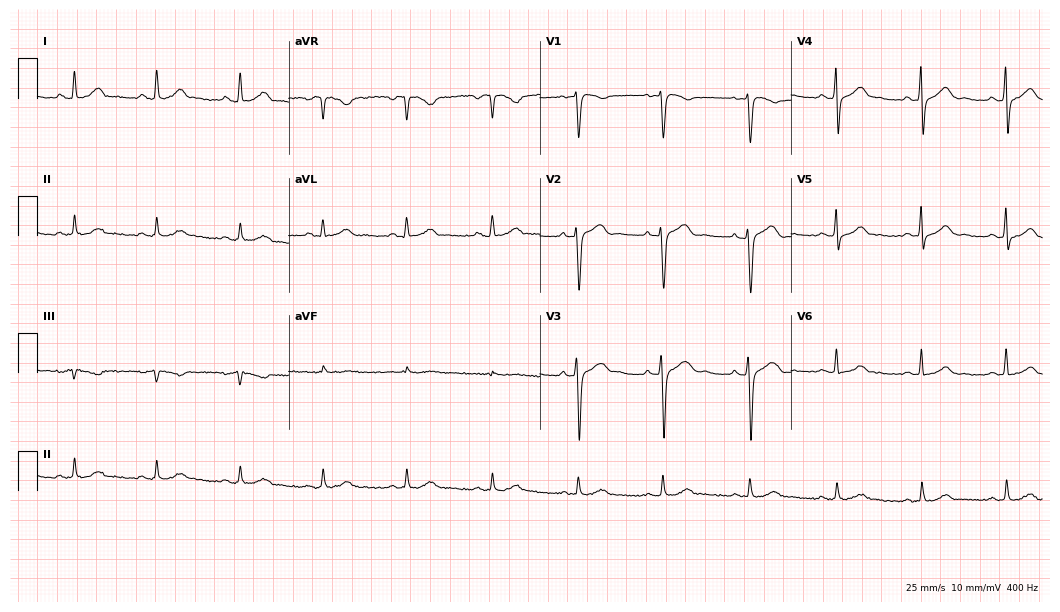
12-lead ECG from a 45-year-old woman. Labelled as a normal ECG.